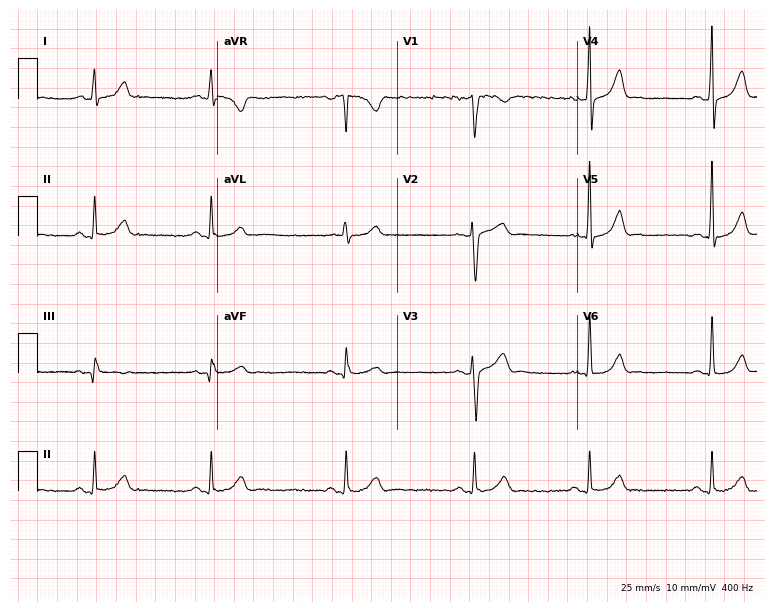
Standard 12-lead ECG recorded from a male, 27 years old. None of these six findings is recorded: first-degree AV block, right bundle branch block (RBBB), left bundle branch block (LBBB), sinus bradycardia, atrial fibrillation (AF), sinus tachycardia. Other findings, if any, are not listed.